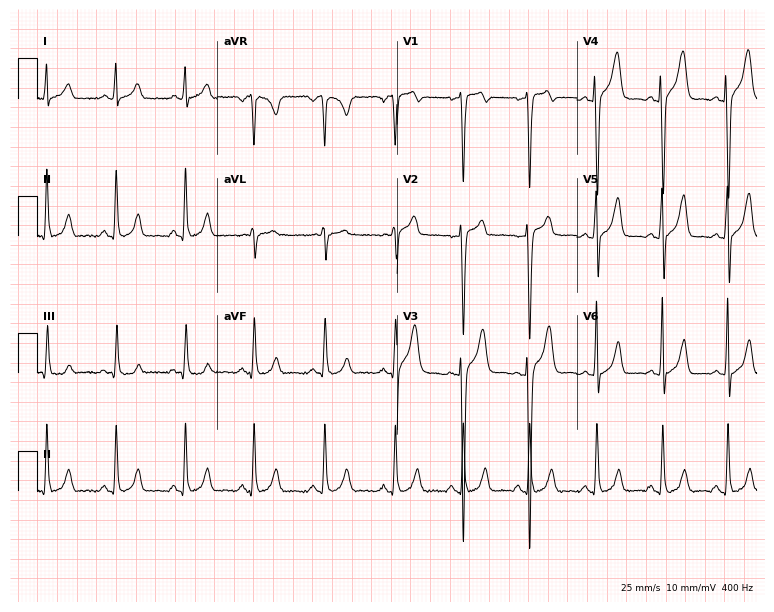
12-lead ECG from a male, 27 years old. Recorded interpretation: within normal limits.